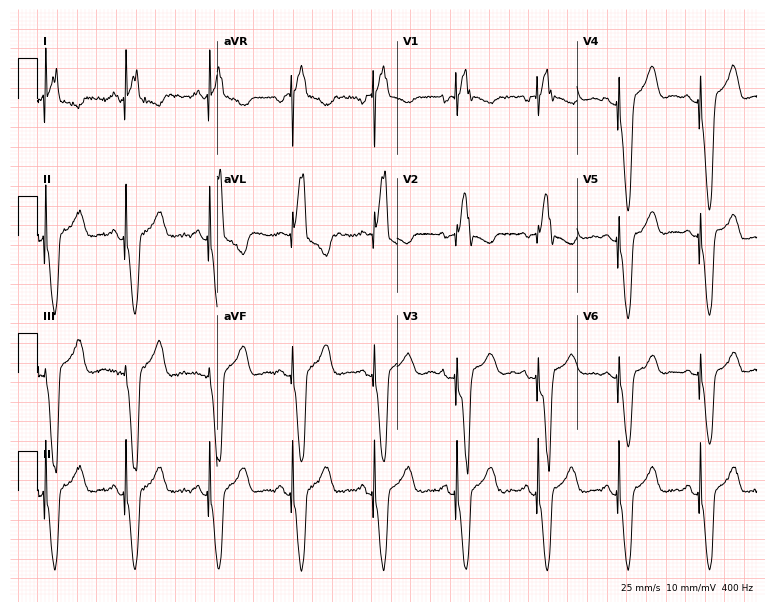
ECG (7.3-second recording at 400 Hz) — a female patient, 54 years old. Screened for six findings — first-degree AV block, right bundle branch block, left bundle branch block, sinus bradycardia, atrial fibrillation, sinus tachycardia — none is recorded.